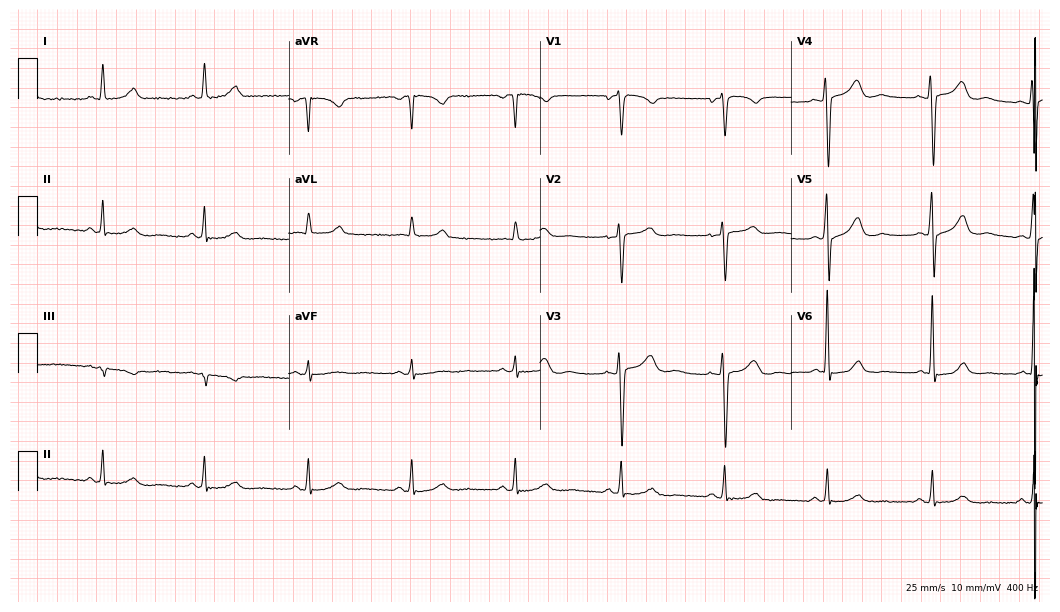
12-lead ECG from a 71-year-old woman. No first-degree AV block, right bundle branch block, left bundle branch block, sinus bradycardia, atrial fibrillation or sinus tachycardia recorded for this tracing. Findings outside these six are not listed.